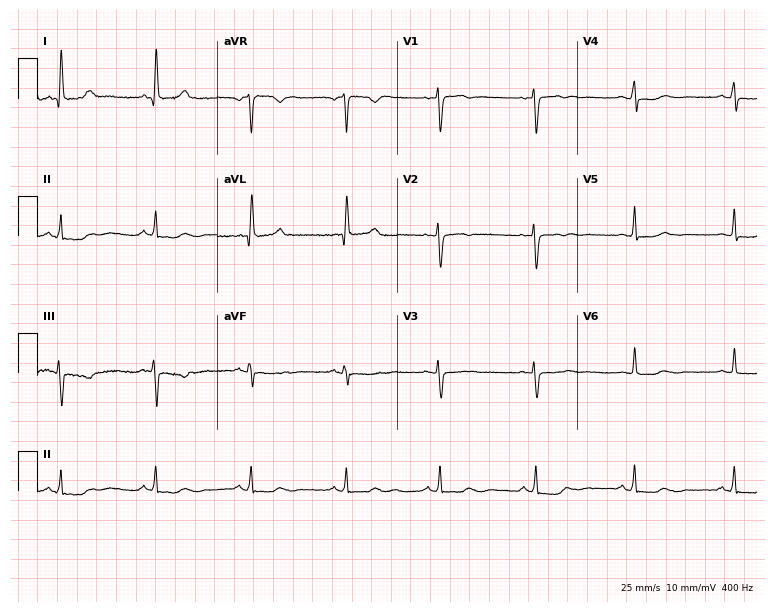
Standard 12-lead ECG recorded from a 68-year-old female. None of these six findings is recorded: first-degree AV block, right bundle branch block, left bundle branch block, sinus bradycardia, atrial fibrillation, sinus tachycardia. Findings outside these six are not listed.